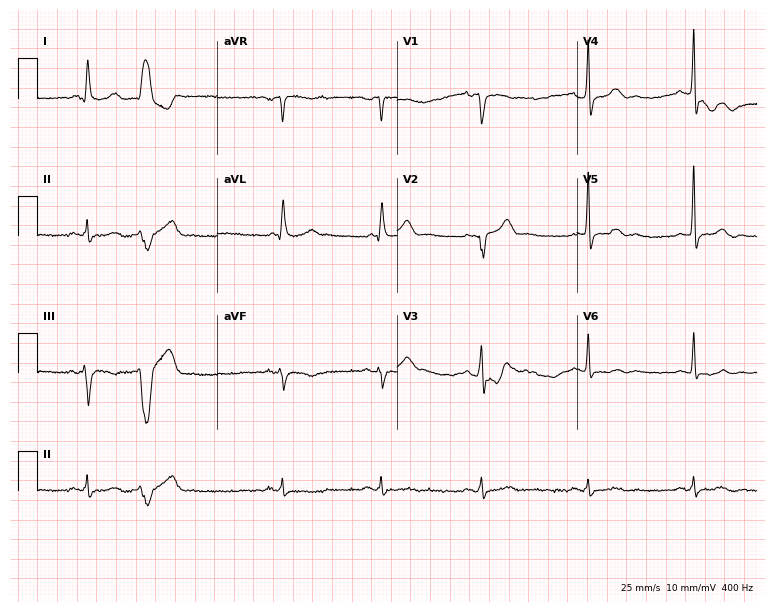
Standard 12-lead ECG recorded from a 56-year-old male patient (7.3-second recording at 400 Hz). None of these six findings is recorded: first-degree AV block, right bundle branch block, left bundle branch block, sinus bradycardia, atrial fibrillation, sinus tachycardia. Other findings, if any, are not listed.